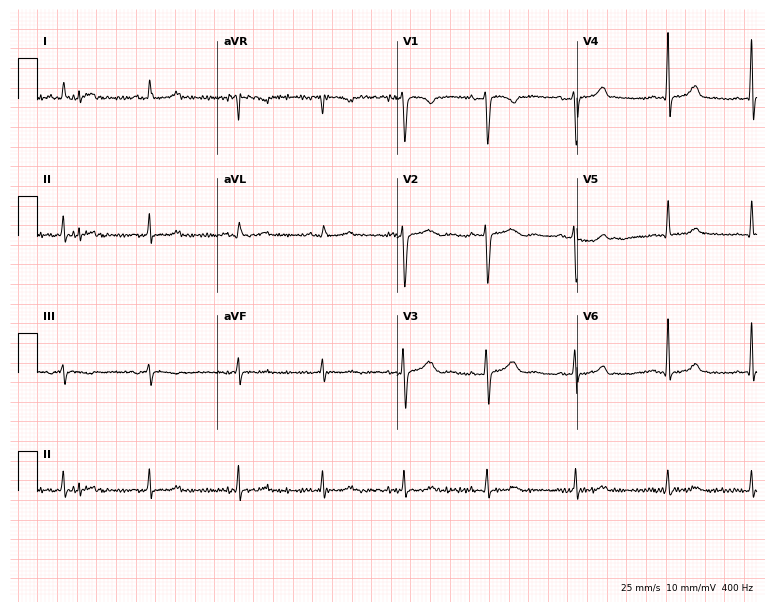
ECG (7.3-second recording at 400 Hz) — a 35-year-old female. Screened for six findings — first-degree AV block, right bundle branch block (RBBB), left bundle branch block (LBBB), sinus bradycardia, atrial fibrillation (AF), sinus tachycardia — none is recorded.